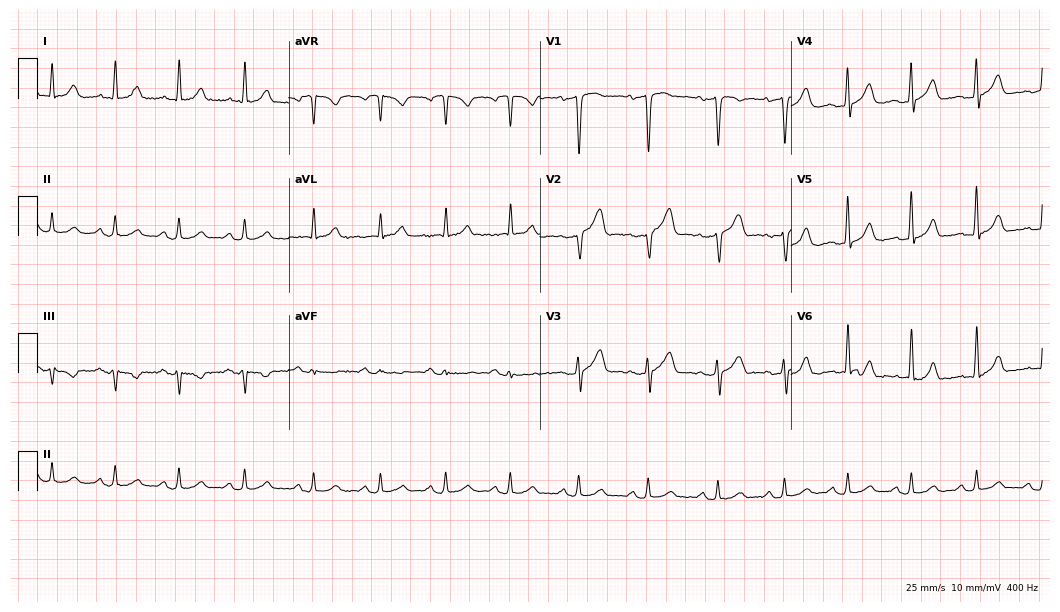
12-lead ECG (10.2-second recording at 400 Hz) from a male patient, 49 years old. Labelled as a normal ECG.